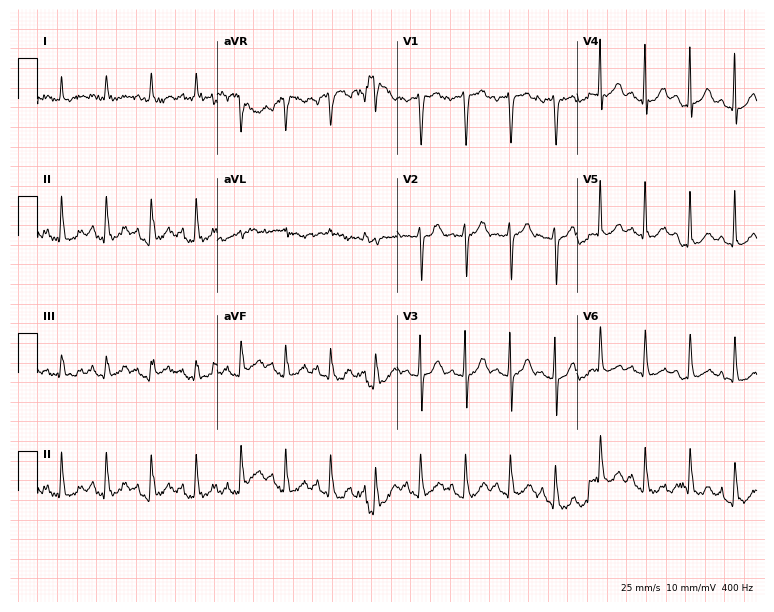
Standard 12-lead ECG recorded from a 71-year-old man (7.3-second recording at 400 Hz). The tracing shows sinus tachycardia (a sinus rate of 100 beats per minute or more).